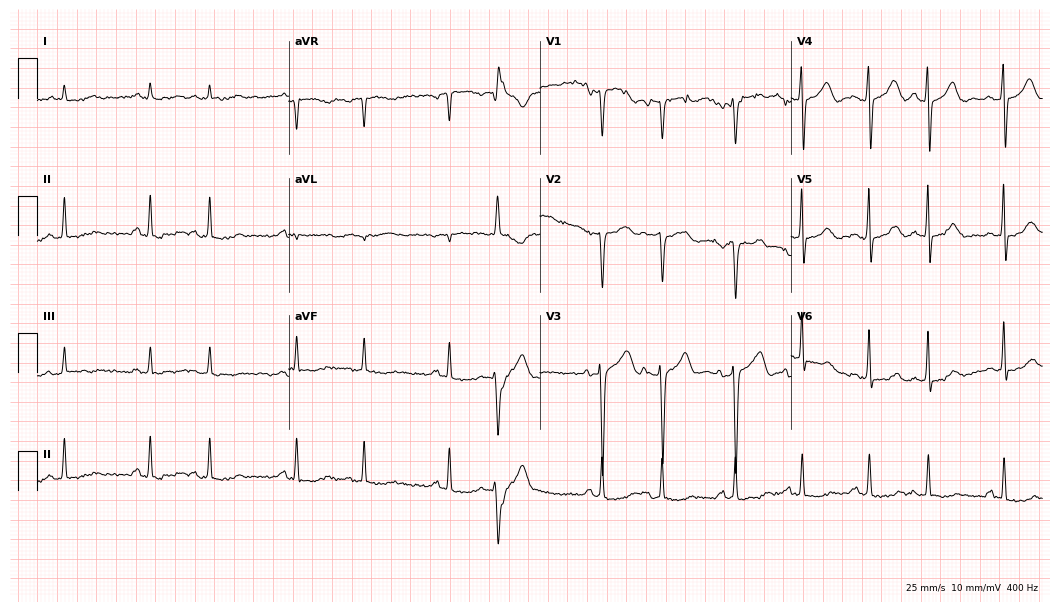
Standard 12-lead ECG recorded from a male, 77 years old. None of these six findings is recorded: first-degree AV block, right bundle branch block (RBBB), left bundle branch block (LBBB), sinus bradycardia, atrial fibrillation (AF), sinus tachycardia.